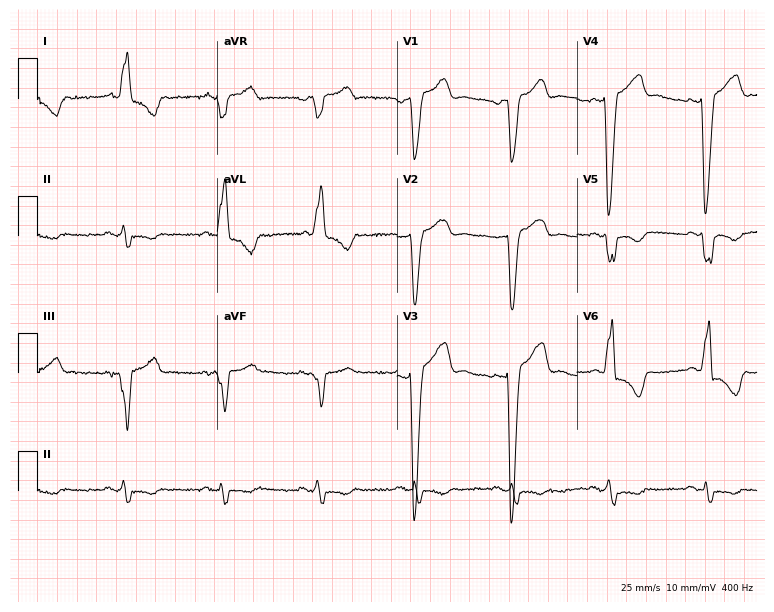
Resting 12-lead electrocardiogram (7.3-second recording at 400 Hz). Patient: an 84-year-old male. The tracing shows left bundle branch block.